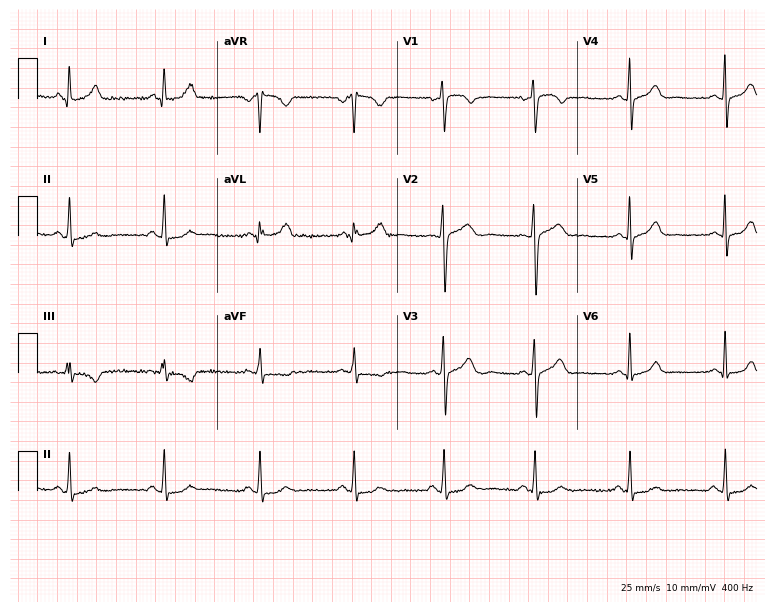
12-lead ECG (7.3-second recording at 400 Hz) from a 36-year-old female. Labelled as a normal ECG.